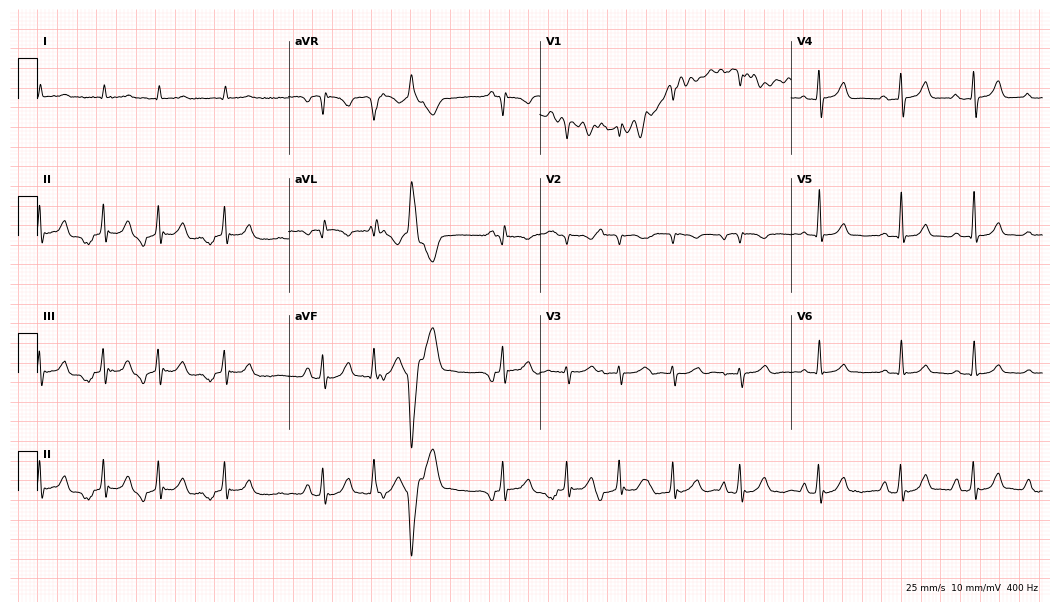
12-lead ECG (10.2-second recording at 400 Hz) from a man, 79 years old. Findings include atrial fibrillation (AF).